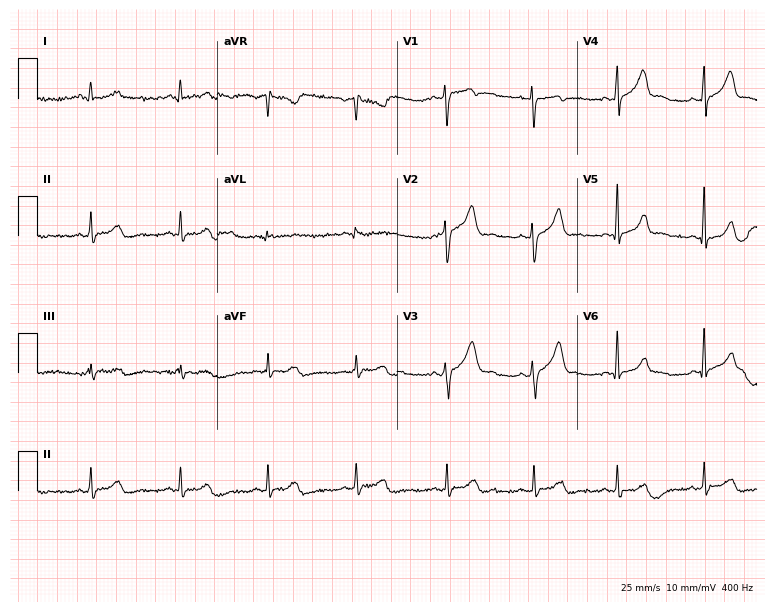
Electrocardiogram, a woman, 37 years old. Overall reading on record: normal ECG.